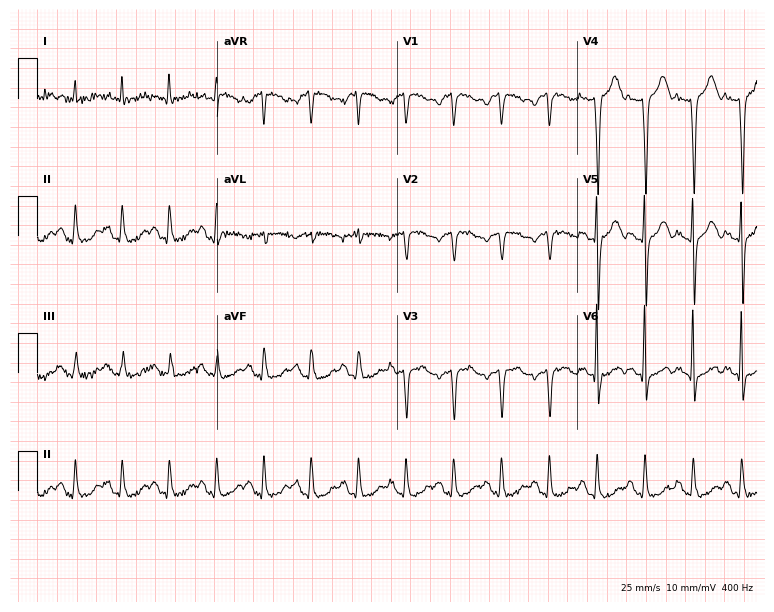
12-lead ECG from a 59-year-old man. Shows sinus tachycardia (a sinus rate of 100 beats per minute or more).